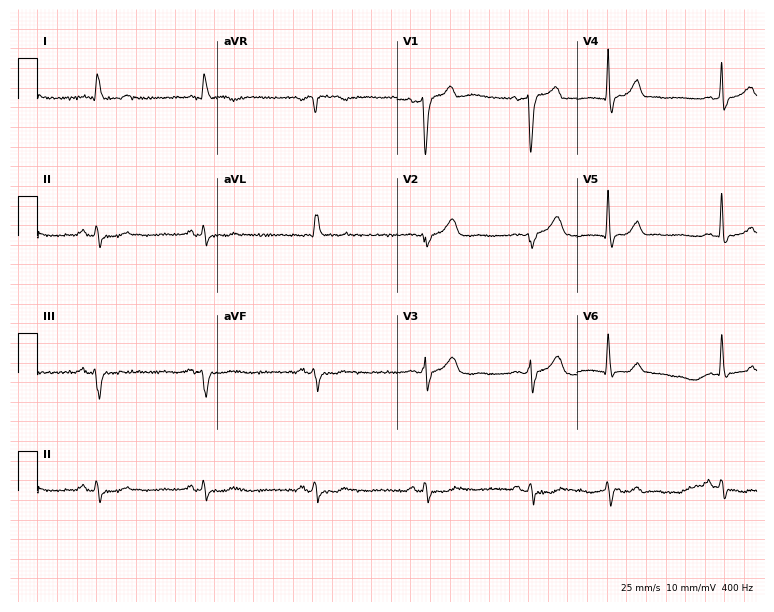
Standard 12-lead ECG recorded from a man, 77 years old (7.3-second recording at 400 Hz). None of these six findings is recorded: first-degree AV block, right bundle branch block, left bundle branch block, sinus bradycardia, atrial fibrillation, sinus tachycardia. Other findings, if any, are not listed.